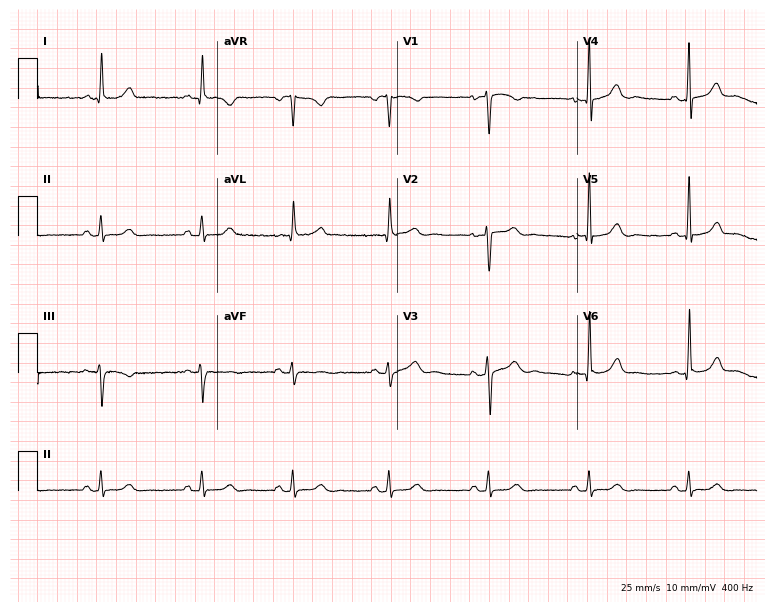
12-lead ECG (7.3-second recording at 400 Hz) from a woman, 35 years old. Screened for six findings — first-degree AV block, right bundle branch block, left bundle branch block, sinus bradycardia, atrial fibrillation, sinus tachycardia — none is recorded.